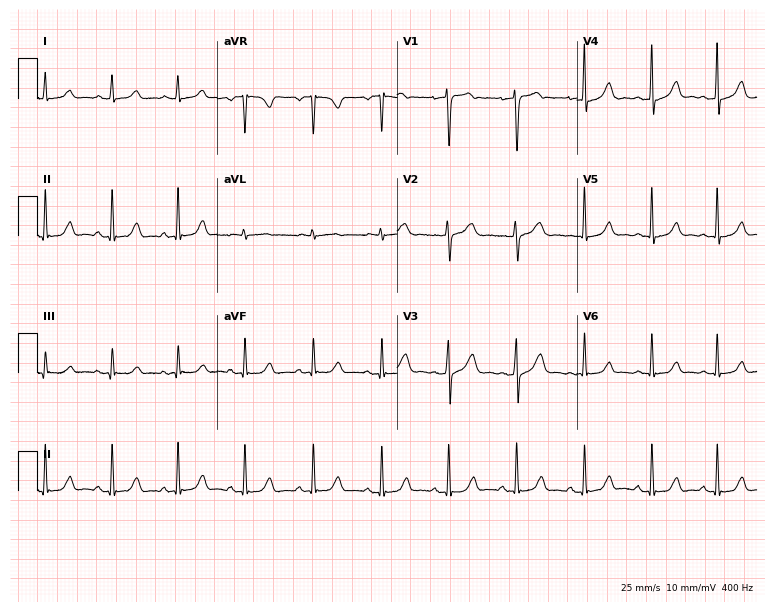
12-lead ECG from a 38-year-old female (7.3-second recording at 400 Hz). Recorded interpretation: within normal limits.